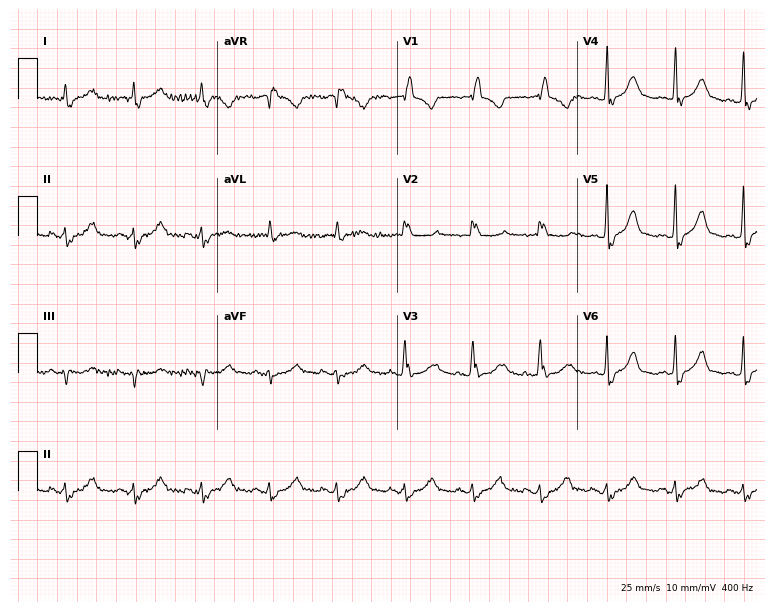
Electrocardiogram, a male, 83 years old. Interpretation includes right bundle branch block.